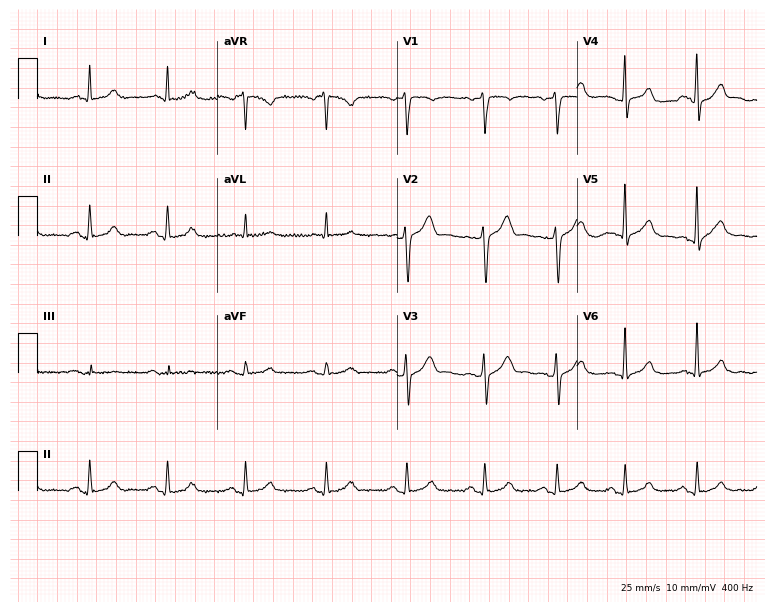
Resting 12-lead electrocardiogram (7.3-second recording at 400 Hz). Patient: a male, 45 years old. Read as a normal ECG.